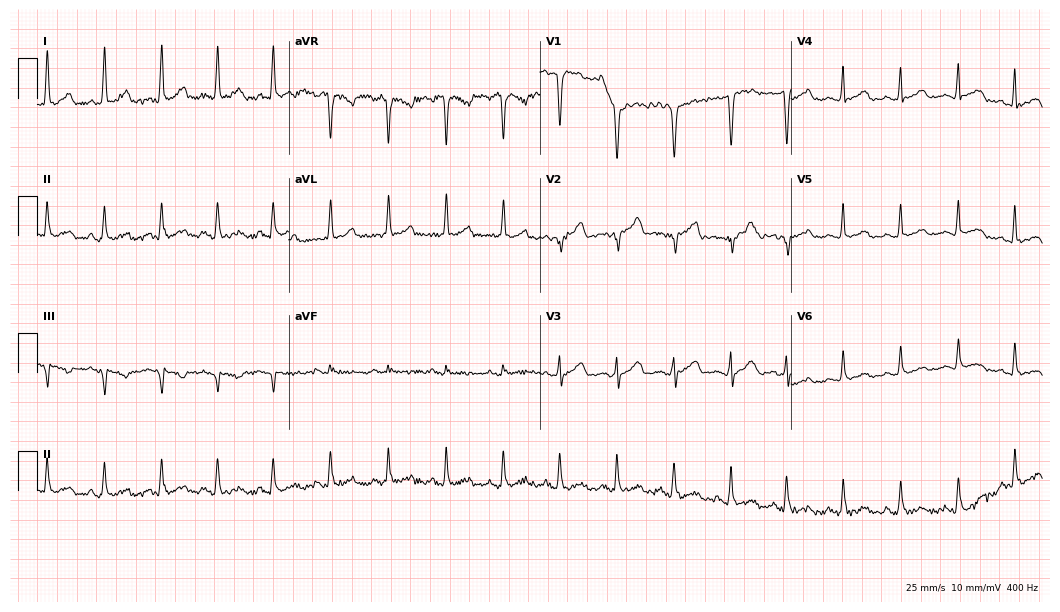
12-lead ECG from a 40-year-old female. Findings include sinus tachycardia (a sinus rate of 100 beats per minute or more).